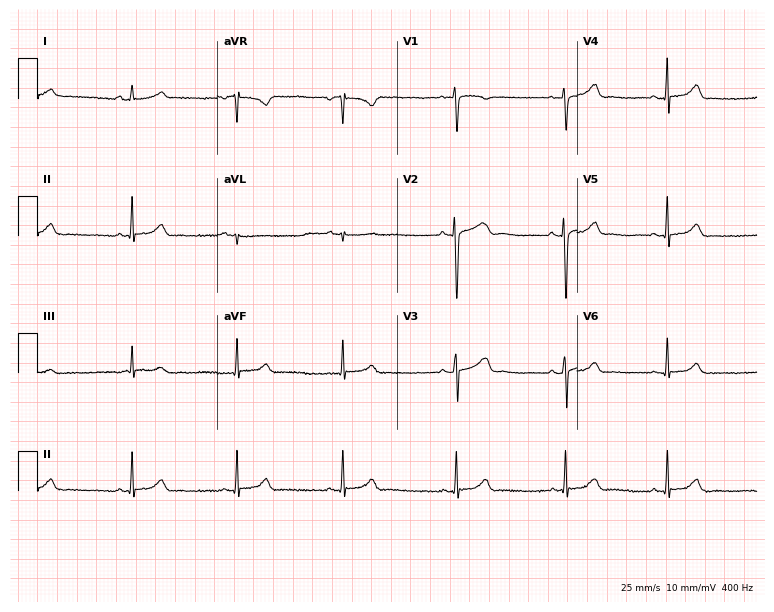
Electrocardiogram, a woman, 17 years old. Overall reading on record: normal ECG.